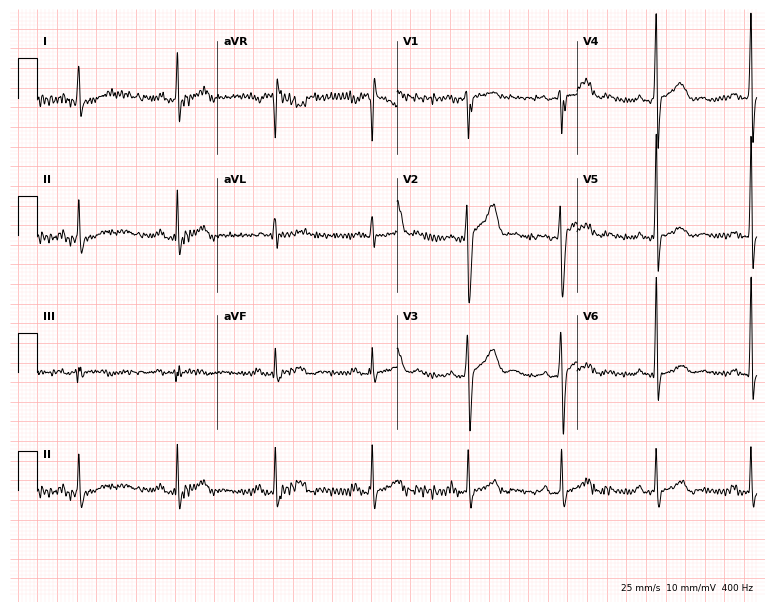
Standard 12-lead ECG recorded from a male patient, 33 years old (7.3-second recording at 400 Hz). None of these six findings is recorded: first-degree AV block, right bundle branch block (RBBB), left bundle branch block (LBBB), sinus bradycardia, atrial fibrillation (AF), sinus tachycardia.